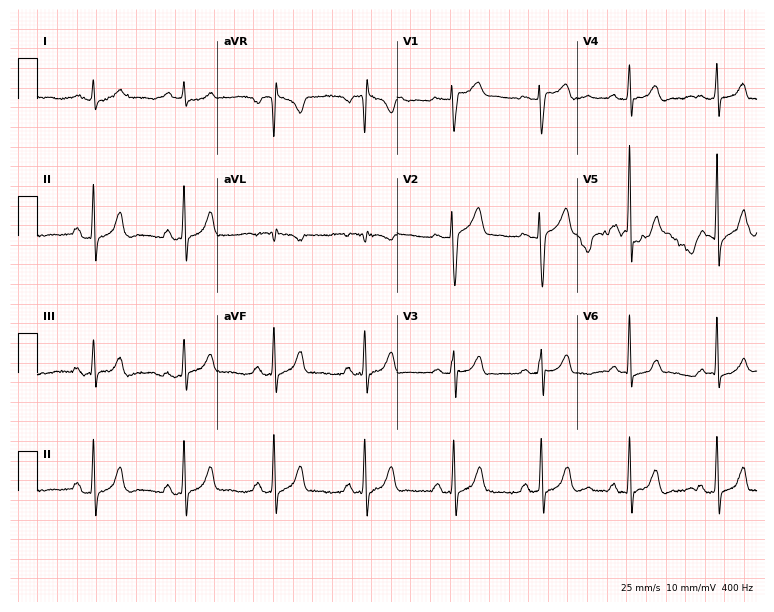
ECG — a man, 66 years old. Screened for six findings — first-degree AV block, right bundle branch block, left bundle branch block, sinus bradycardia, atrial fibrillation, sinus tachycardia — none is recorded.